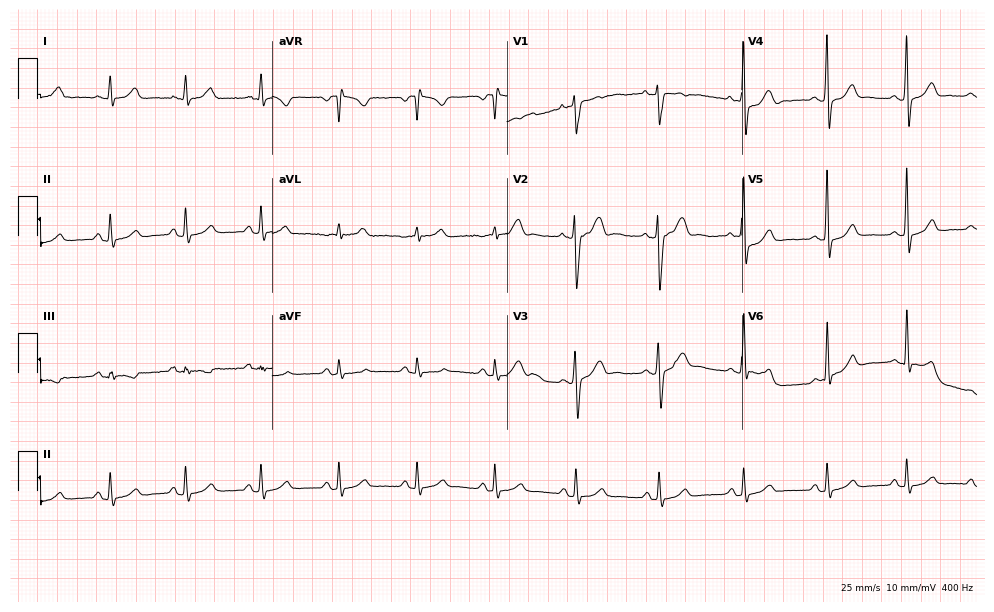
12-lead ECG from a 36-year-old male. Recorded interpretation: within normal limits.